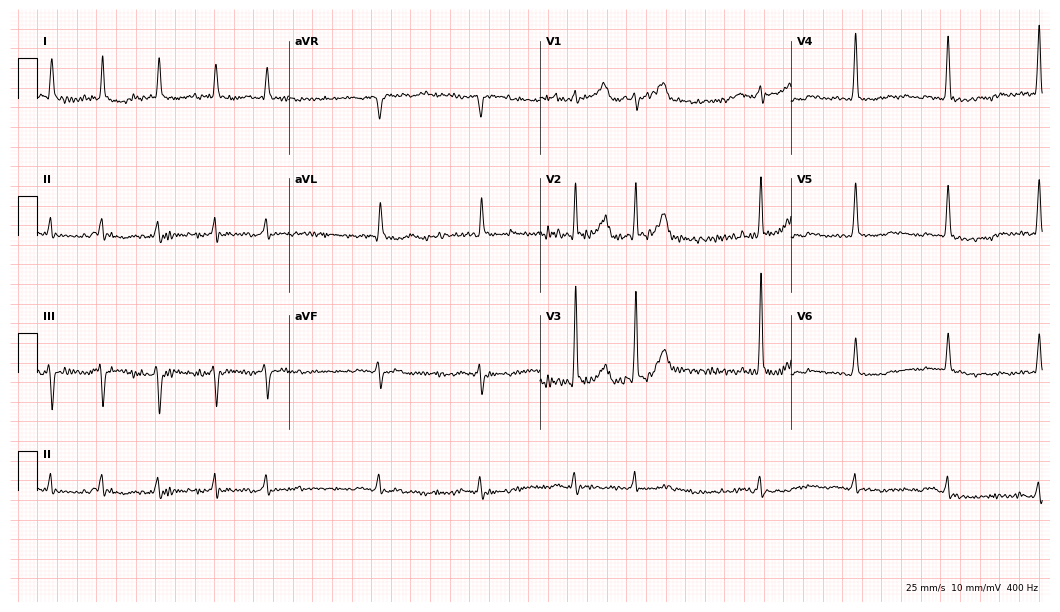
Electrocardiogram (10.2-second recording at 400 Hz), an 82-year-old male. Of the six screened findings (first-degree AV block, right bundle branch block, left bundle branch block, sinus bradycardia, atrial fibrillation, sinus tachycardia), none is recorded. Only these six findings were labelled.